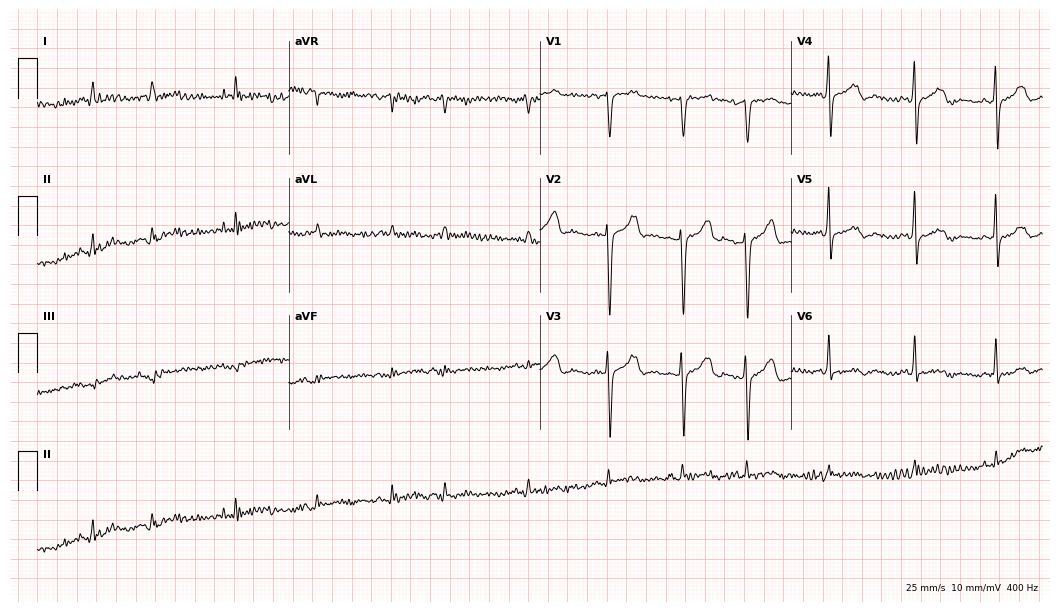
12-lead ECG from a 78-year-old man. Screened for six findings — first-degree AV block, right bundle branch block, left bundle branch block, sinus bradycardia, atrial fibrillation, sinus tachycardia — none is recorded.